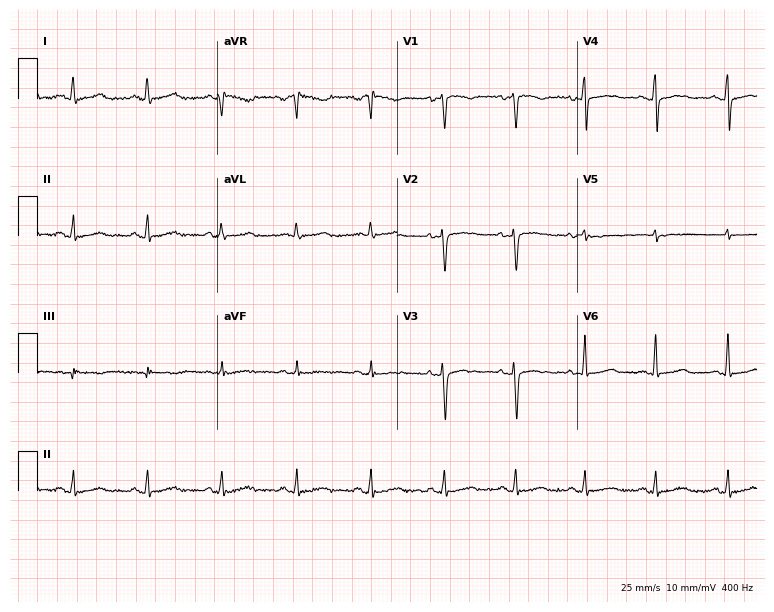
12-lead ECG from a 40-year-old female. Labelled as a normal ECG.